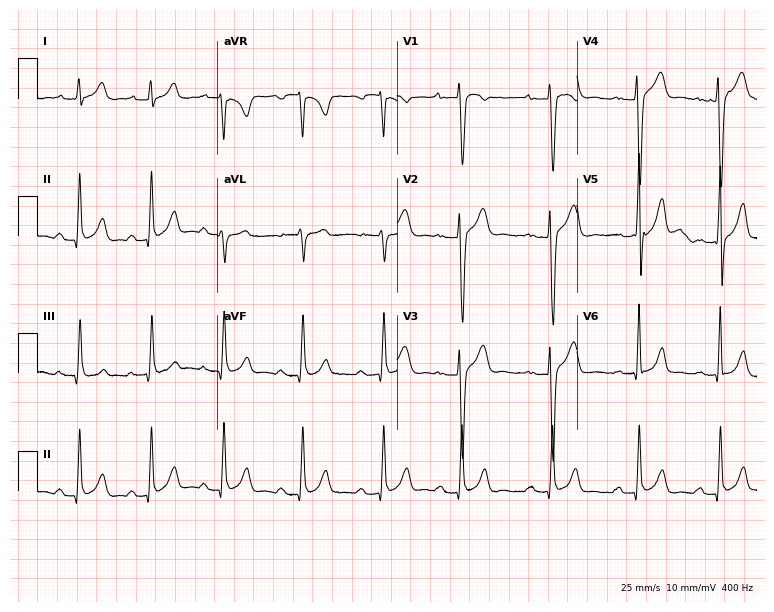
12-lead ECG from a man, 24 years old. No first-degree AV block, right bundle branch block (RBBB), left bundle branch block (LBBB), sinus bradycardia, atrial fibrillation (AF) or sinus tachycardia recorded for this tracing.